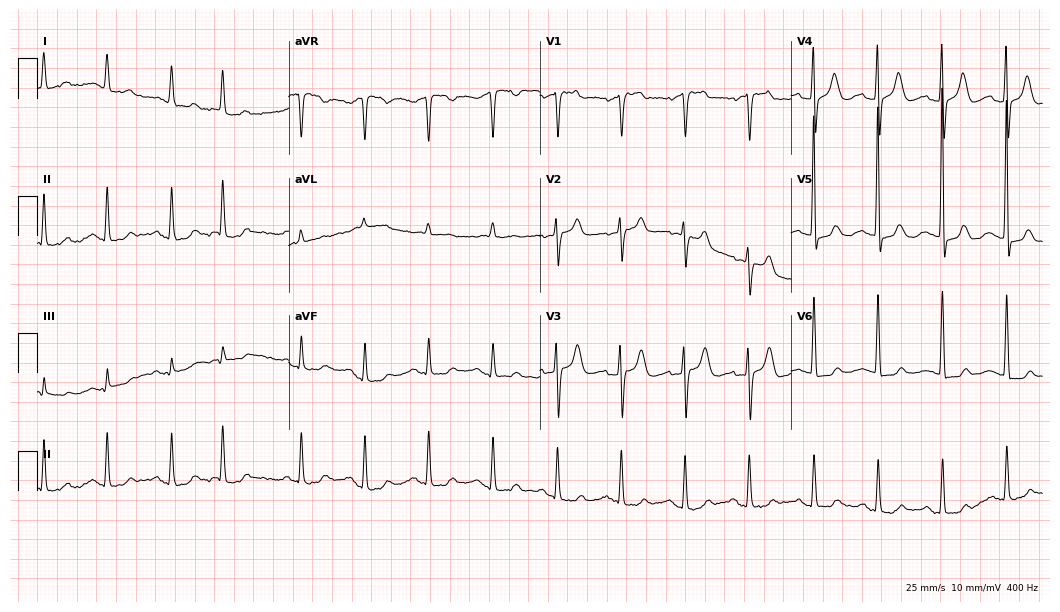
Resting 12-lead electrocardiogram. Patient: a 79-year-old female. None of these six findings is recorded: first-degree AV block, right bundle branch block (RBBB), left bundle branch block (LBBB), sinus bradycardia, atrial fibrillation (AF), sinus tachycardia.